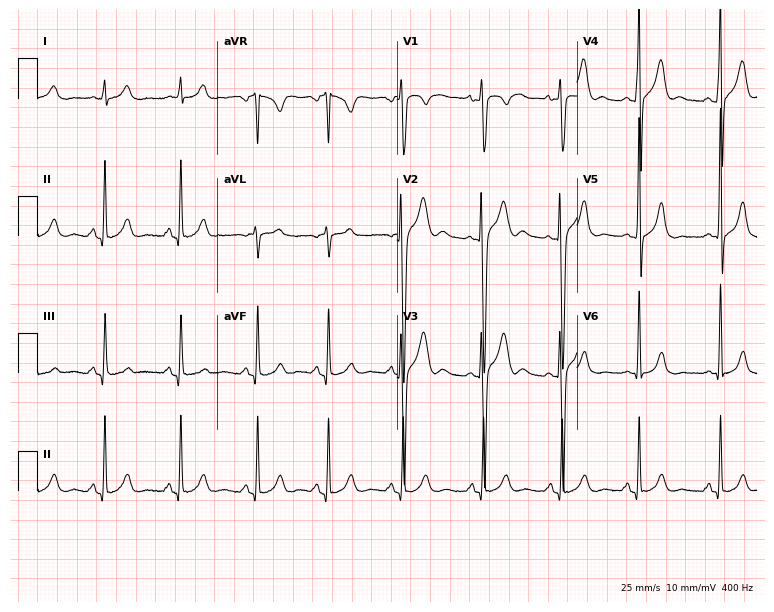
Resting 12-lead electrocardiogram. Patient: a man, 20 years old. None of these six findings is recorded: first-degree AV block, right bundle branch block (RBBB), left bundle branch block (LBBB), sinus bradycardia, atrial fibrillation (AF), sinus tachycardia. Only these six findings were labelled.